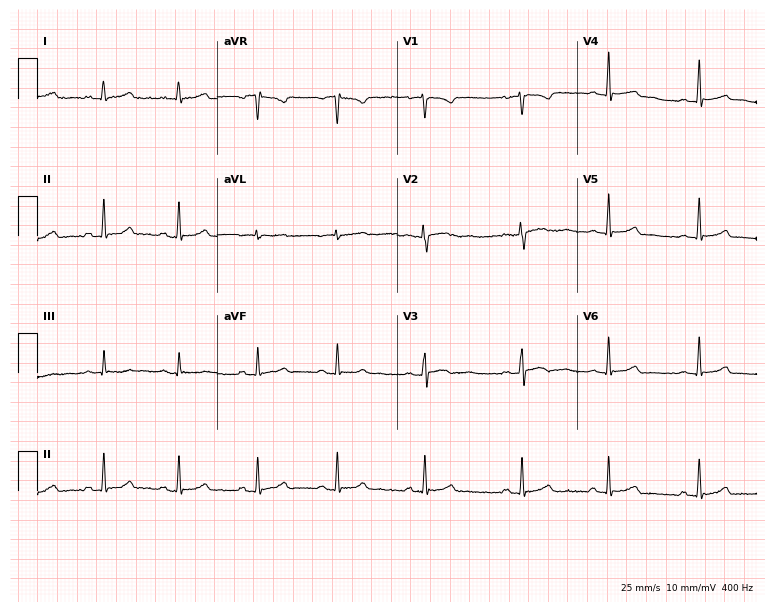
ECG — a female patient, 22 years old. Labelled as a normal ECG.